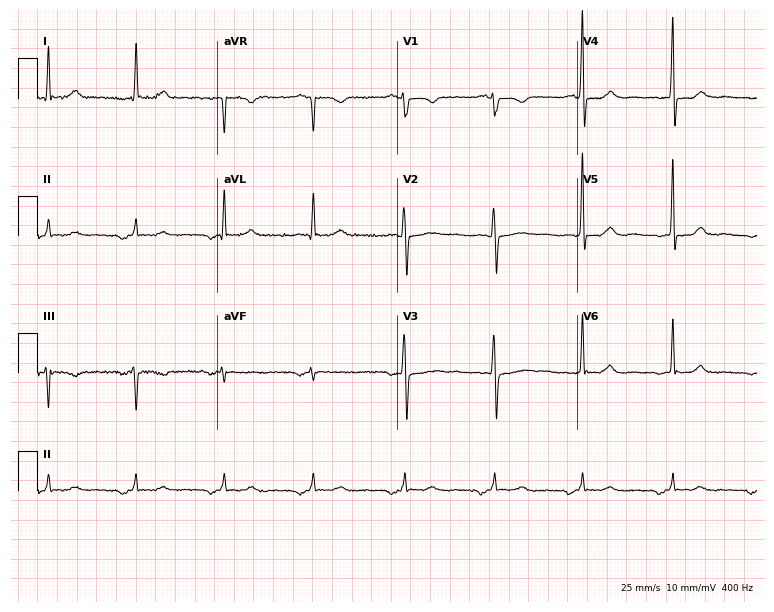
Resting 12-lead electrocardiogram (7.3-second recording at 400 Hz). Patient: a 61-year-old female. Read as a normal ECG.